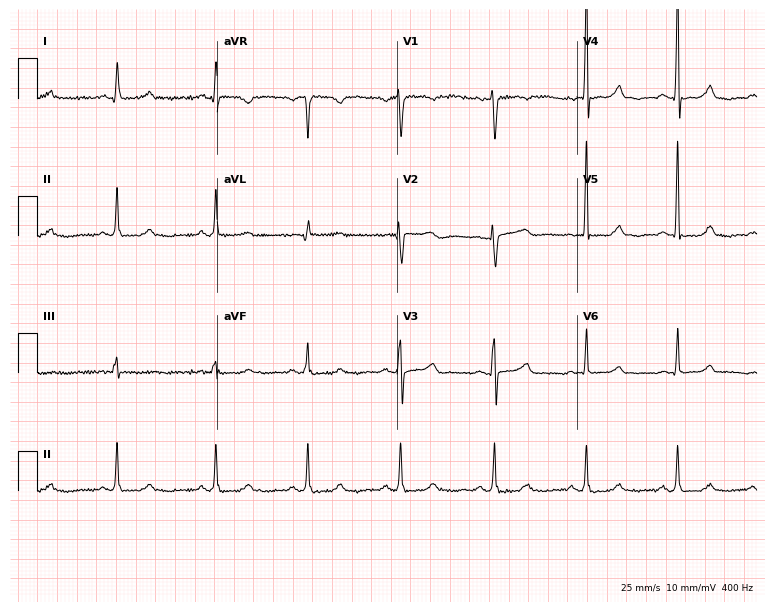
12-lead ECG (7.3-second recording at 400 Hz) from a 59-year-old woman. Labelled as a normal ECG.